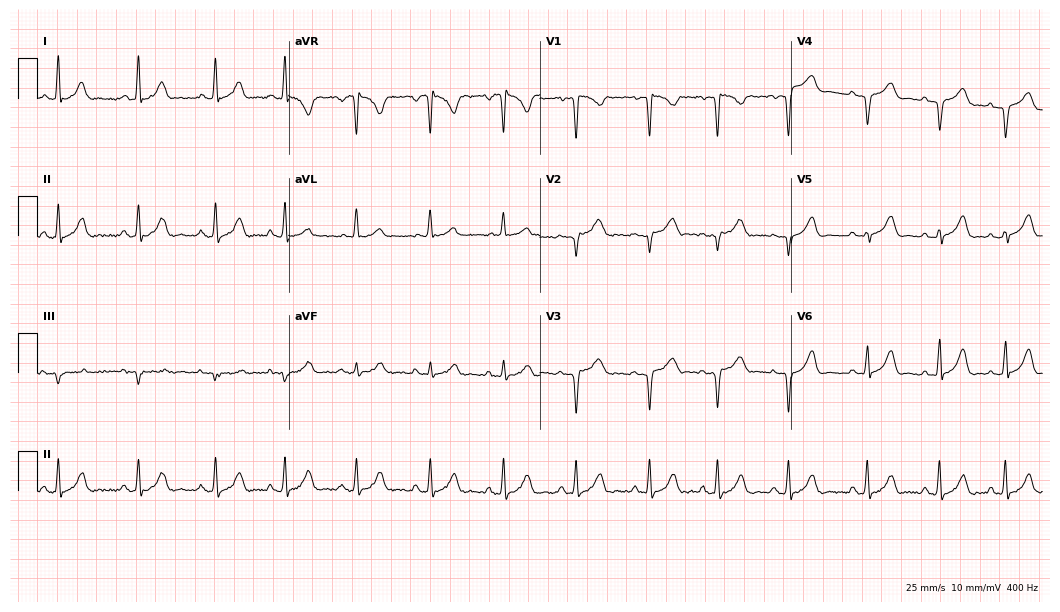
Standard 12-lead ECG recorded from a female, 17 years old (10.2-second recording at 400 Hz). None of these six findings is recorded: first-degree AV block, right bundle branch block, left bundle branch block, sinus bradycardia, atrial fibrillation, sinus tachycardia. Only these six findings were labelled.